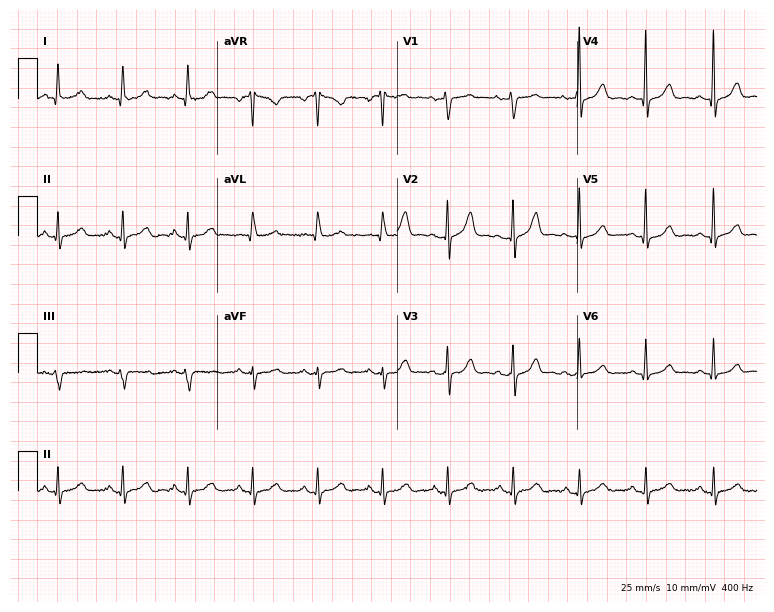
Electrocardiogram (7.3-second recording at 400 Hz), a woman, 64 years old. Overall reading on record: normal ECG.